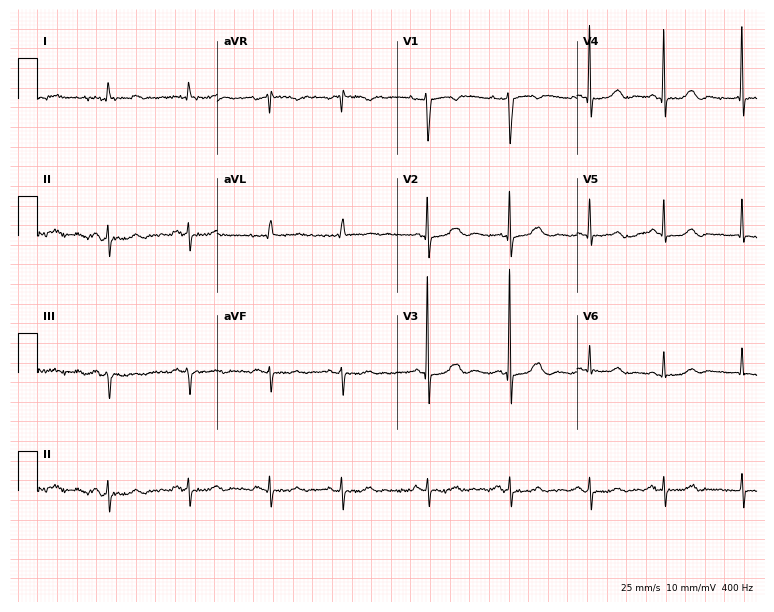
Electrocardiogram, a woman, 76 years old. Of the six screened findings (first-degree AV block, right bundle branch block (RBBB), left bundle branch block (LBBB), sinus bradycardia, atrial fibrillation (AF), sinus tachycardia), none is recorded.